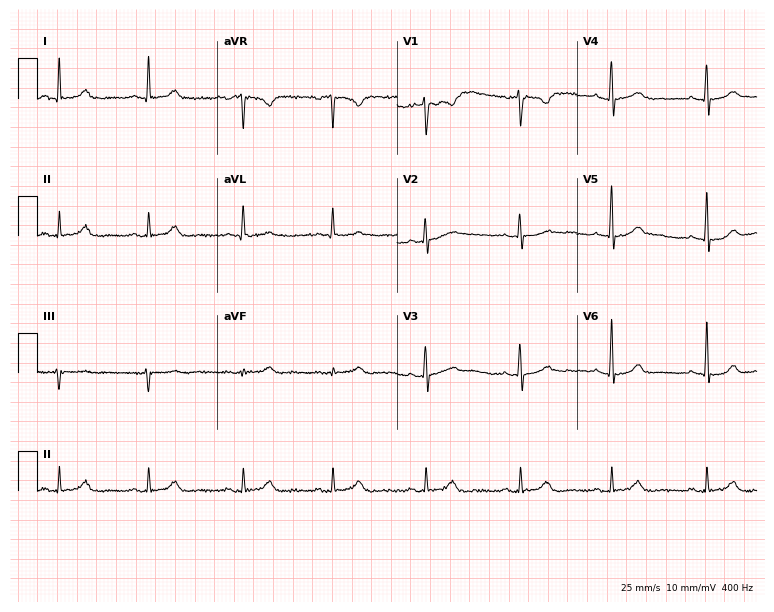
12-lead ECG from a female, 40 years old. Screened for six findings — first-degree AV block, right bundle branch block, left bundle branch block, sinus bradycardia, atrial fibrillation, sinus tachycardia — none is recorded.